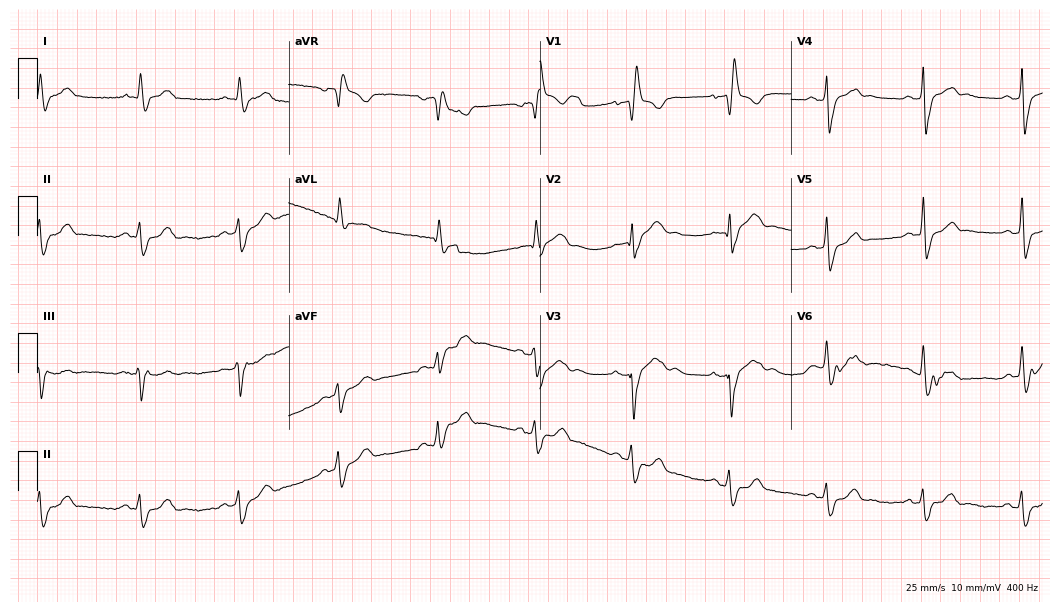
12-lead ECG (10.2-second recording at 400 Hz) from a male patient, 67 years old. Findings include right bundle branch block (RBBB).